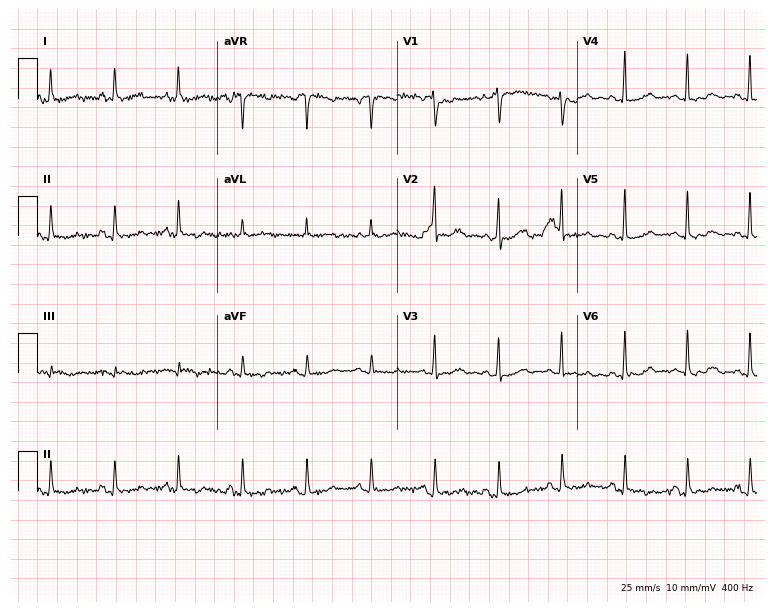
12-lead ECG from a woman, 54 years old (7.3-second recording at 400 Hz). No first-degree AV block, right bundle branch block (RBBB), left bundle branch block (LBBB), sinus bradycardia, atrial fibrillation (AF) or sinus tachycardia recorded for this tracing.